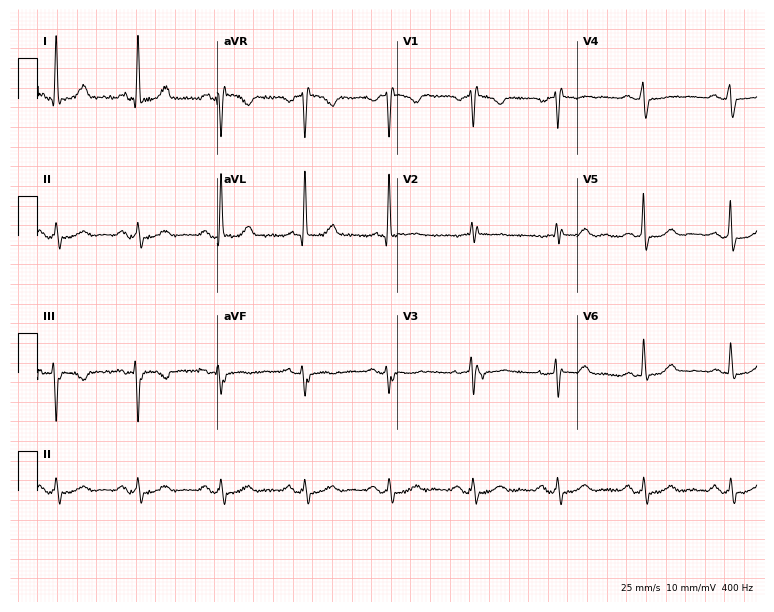
ECG — a 74-year-old woman. Screened for six findings — first-degree AV block, right bundle branch block (RBBB), left bundle branch block (LBBB), sinus bradycardia, atrial fibrillation (AF), sinus tachycardia — none is recorded. Other findings, if any, are not listed.